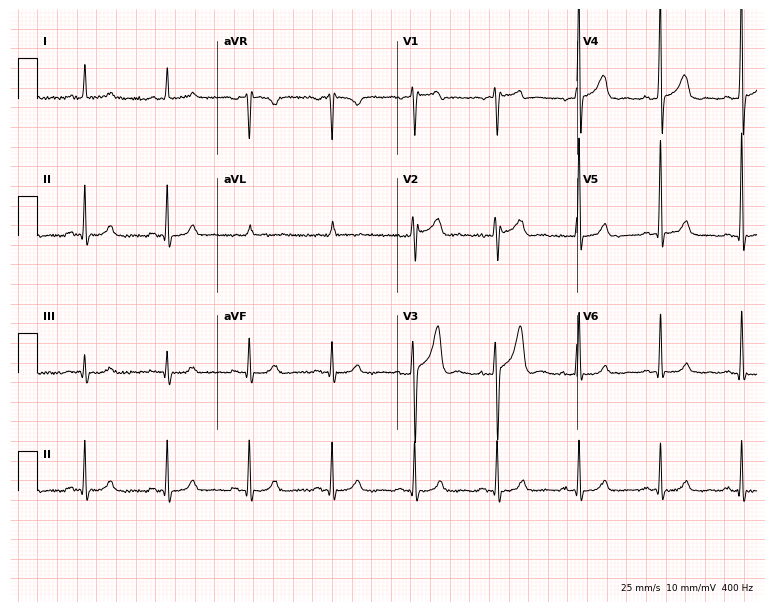
12-lead ECG from a man, 58 years old (7.3-second recording at 400 Hz). Recorded interpretation: within normal limits.